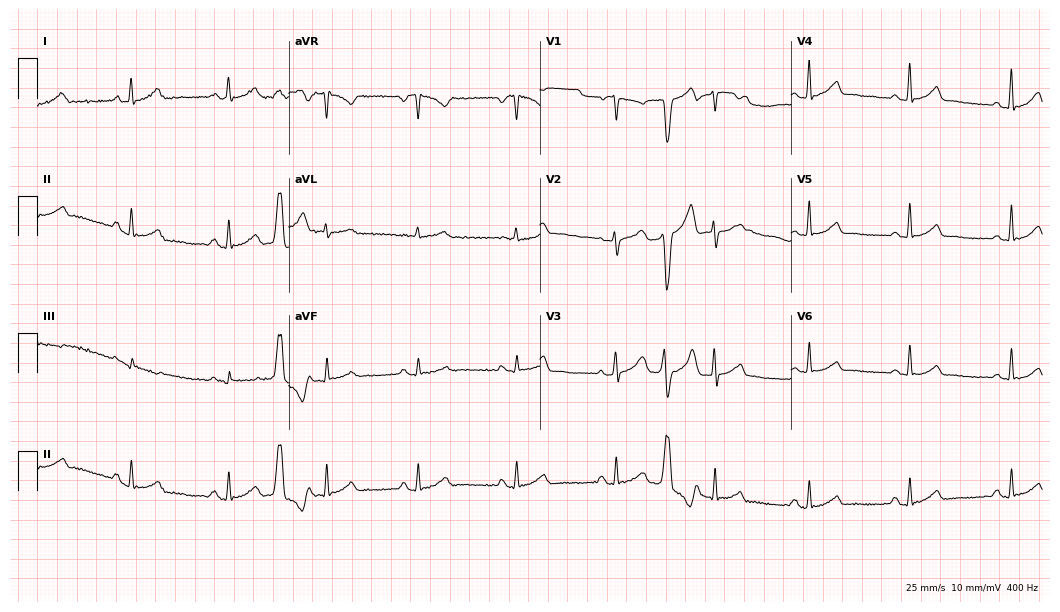
12-lead ECG from a 45-year-old female. Screened for six findings — first-degree AV block, right bundle branch block, left bundle branch block, sinus bradycardia, atrial fibrillation, sinus tachycardia — none is recorded.